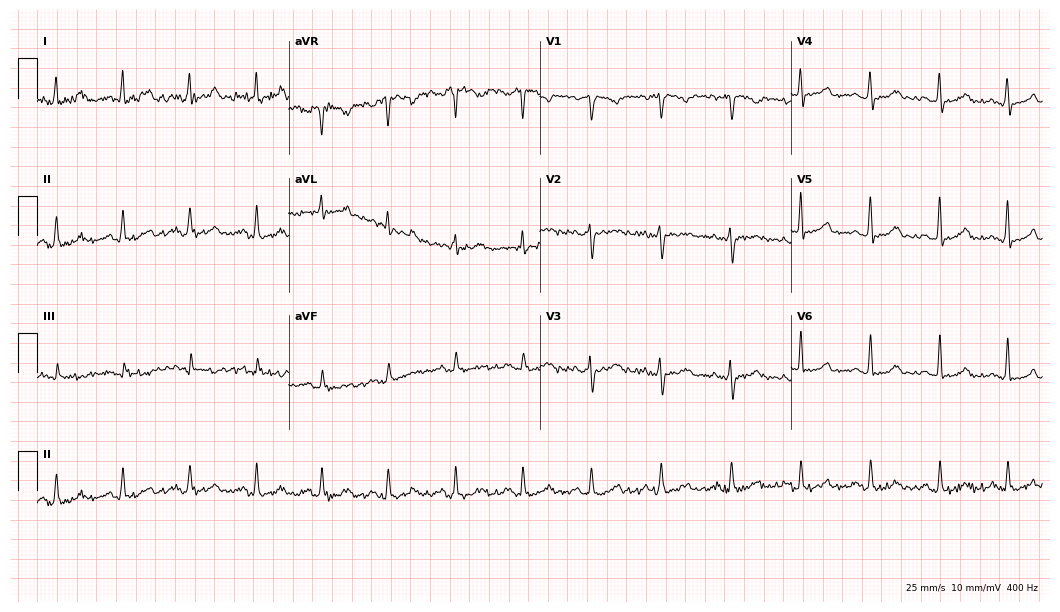
Standard 12-lead ECG recorded from a 44-year-old female (10.2-second recording at 400 Hz). Read as a normal ECG.